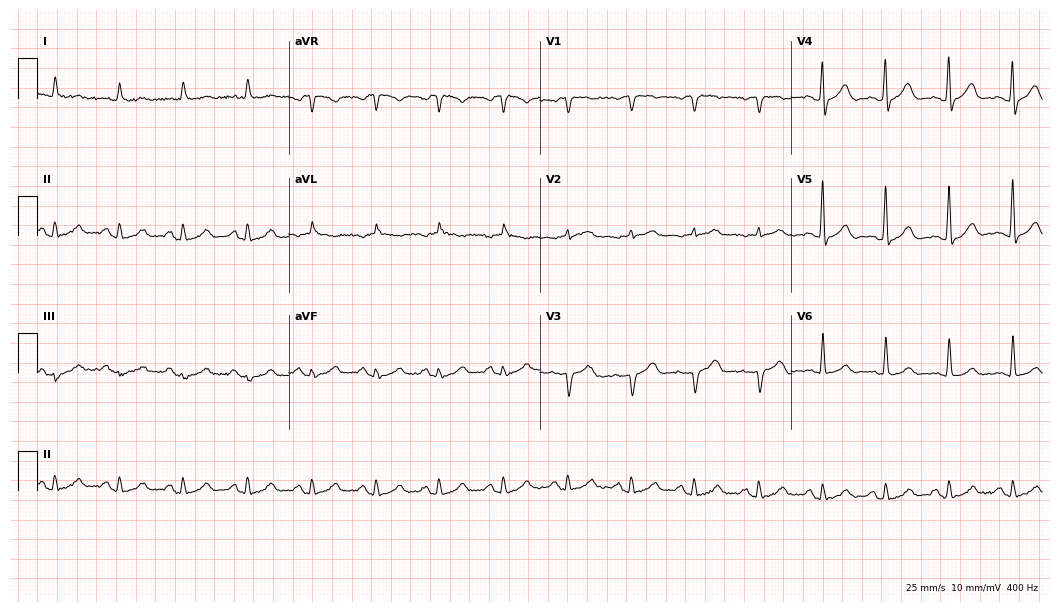
12-lead ECG (10.2-second recording at 400 Hz) from a male, 72 years old. Labelled as a normal ECG.